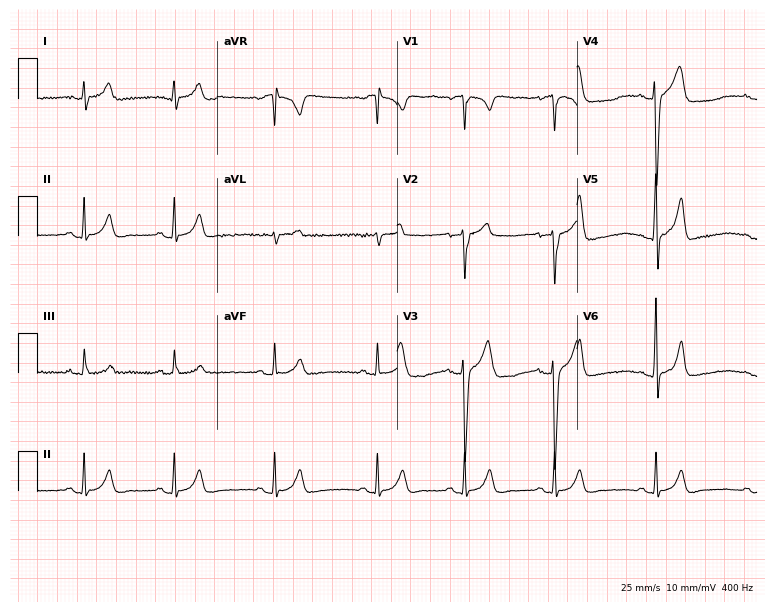
12-lead ECG from a 22-year-old male. Recorded interpretation: within normal limits.